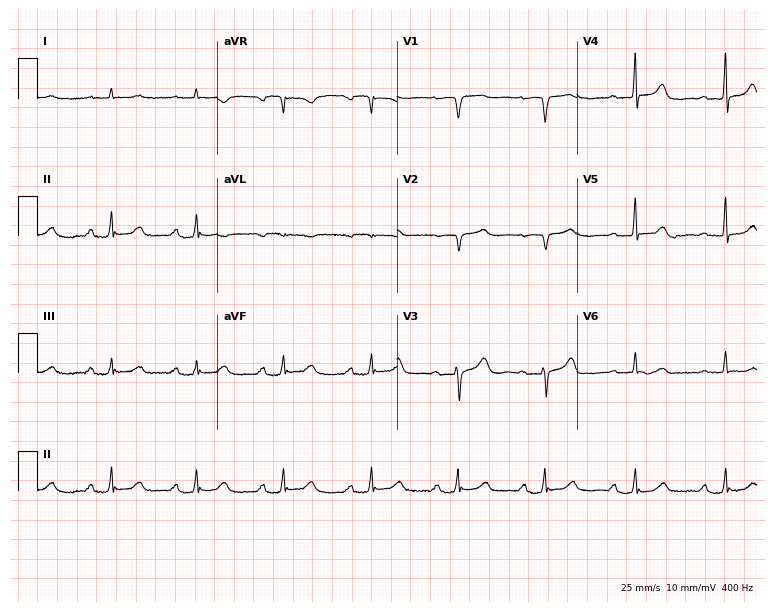
Electrocardiogram (7.3-second recording at 400 Hz), a male patient, 80 years old. Interpretation includes first-degree AV block.